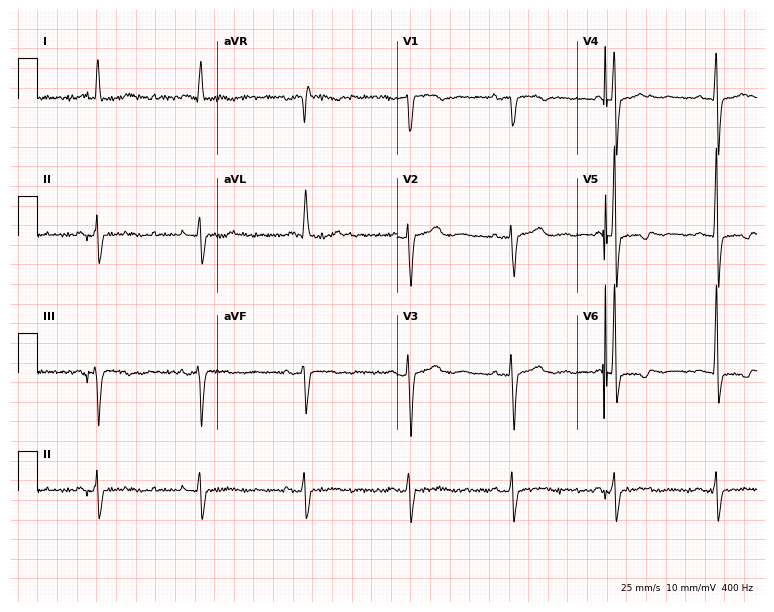
Standard 12-lead ECG recorded from a 63-year-old female (7.3-second recording at 400 Hz). None of these six findings is recorded: first-degree AV block, right bundle branch block, left bundle branch block, sinus bradycardia, atrial fibrillation, sinus tachycardia.